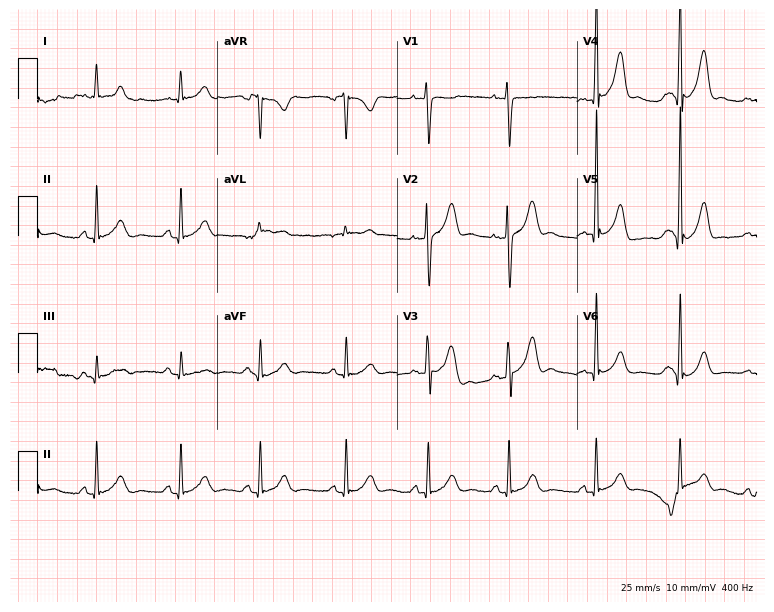
12-lead ECG from a 23-year-old male. No first-degree AV block, right bundle branch block, left bundle branch block, sinus bradycardia, atrial fibrillation or sinus tachycardia recorded for this tracing.